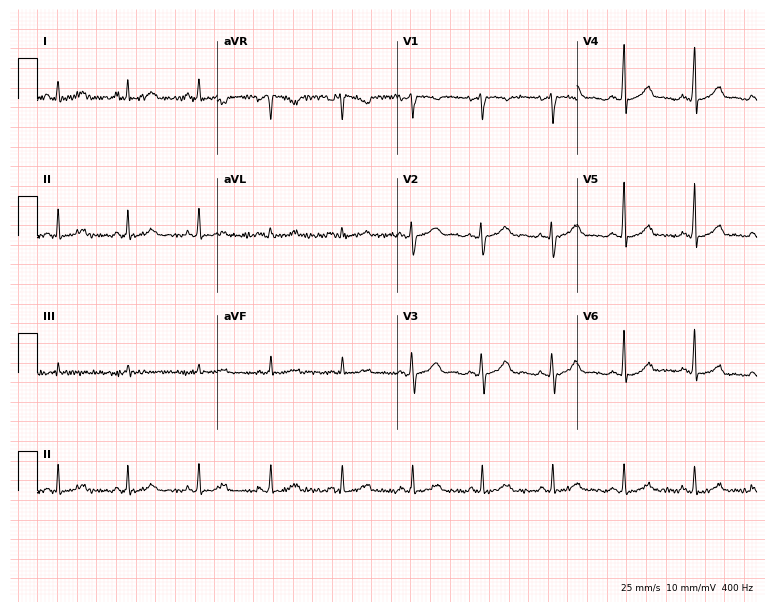
Electrocardiogram (7.3-second recording at 400 Hz), a 40-year-old female patient. Overall reading on record: normal ECG.